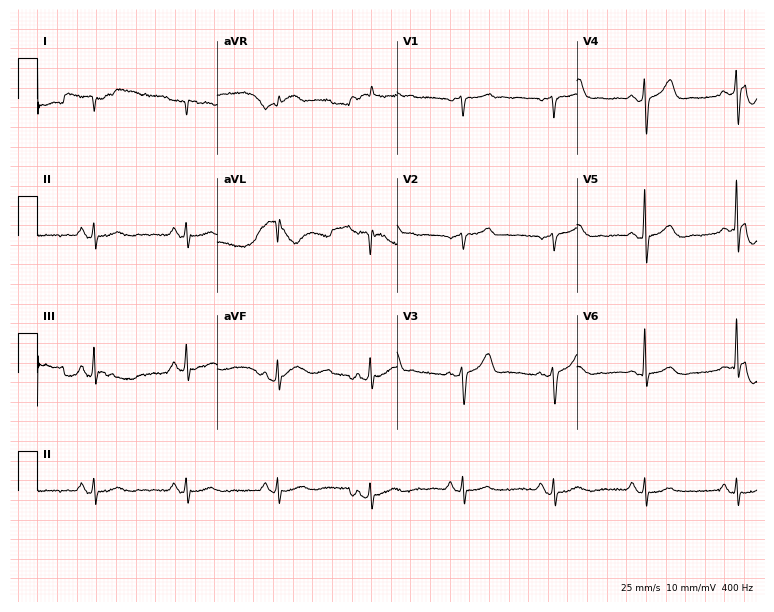
Resting 12-lead electrocardiogram (7.3-second recording at 400 Hz). Patient: a male, 85 years old. None of these six findings is recorded: first-degree AV block, right bundle branch block, left bundle branch block, sinus bradycardia, atrial fibrillation, sinus tachycardia. Other findings, if any, are not listed.